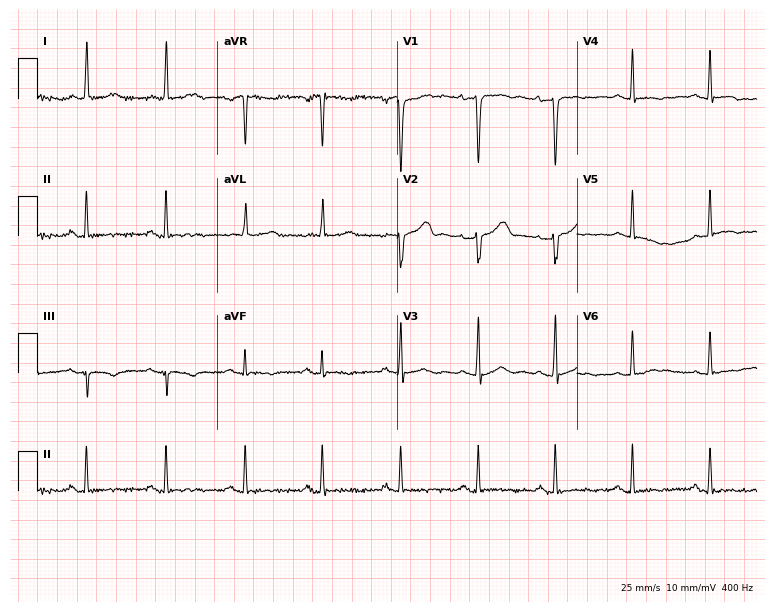
ECG — a 63-year-old female patient. Screened for six findings — first-degree AV block, right bundle branch block, left bundle branch block, sinus bradycardia, atrial fibrillation, sinus tachycardia — none is recorded.